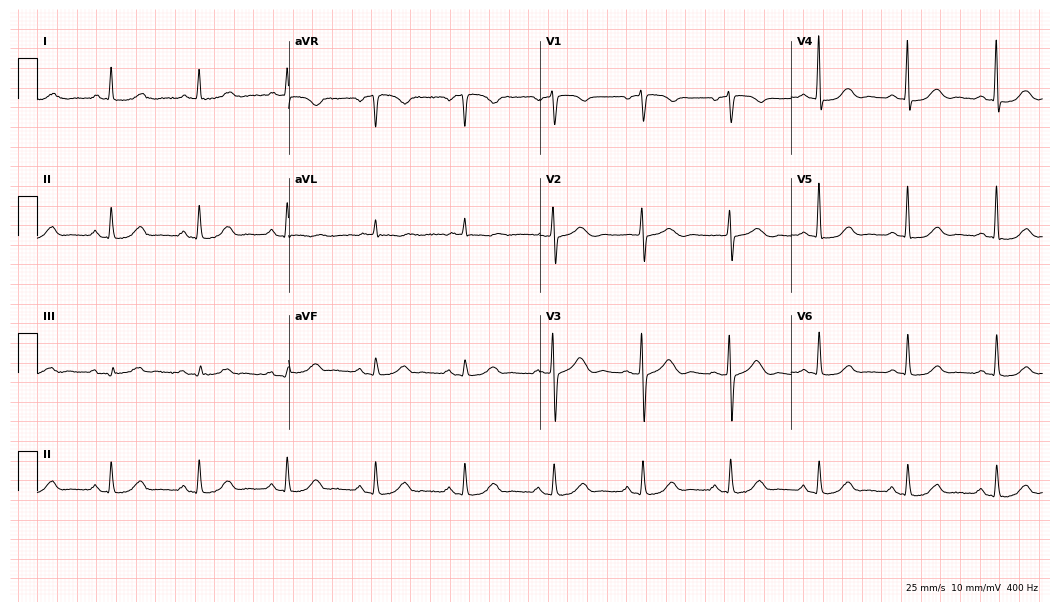
12-lead ECG from a 75-year-old female patient. Labelled as a normal ECG.